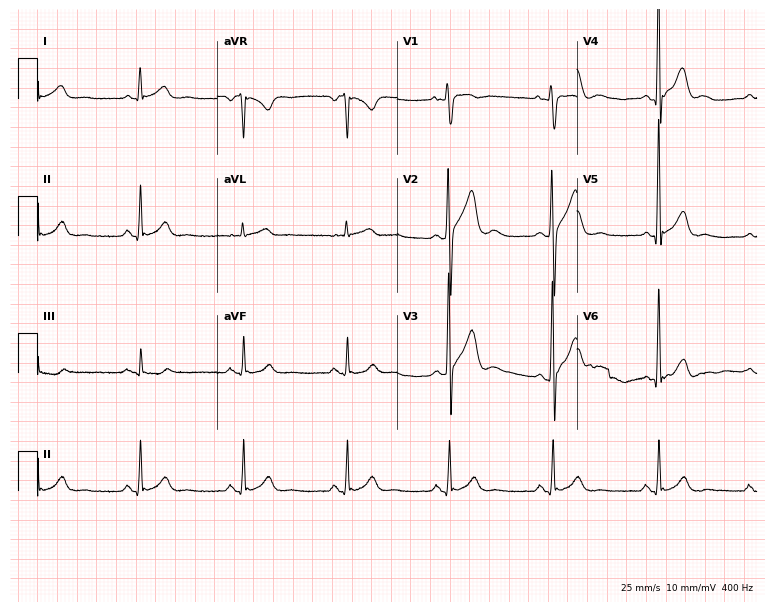
Resting 12-lead electrocardiogram. Patient: a male, 35 years old. Read as a normal ECG.